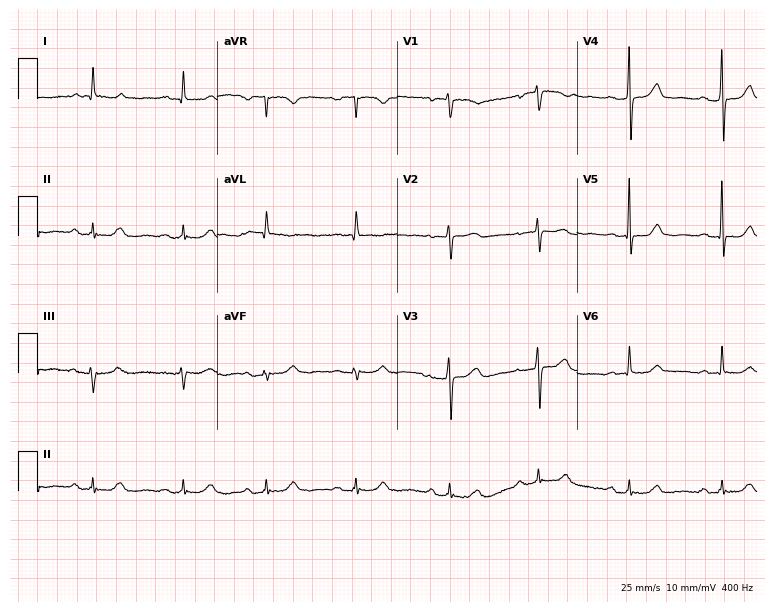
12-lead ECG from a 79-year-old female patient. Findings include first-degree AV block.